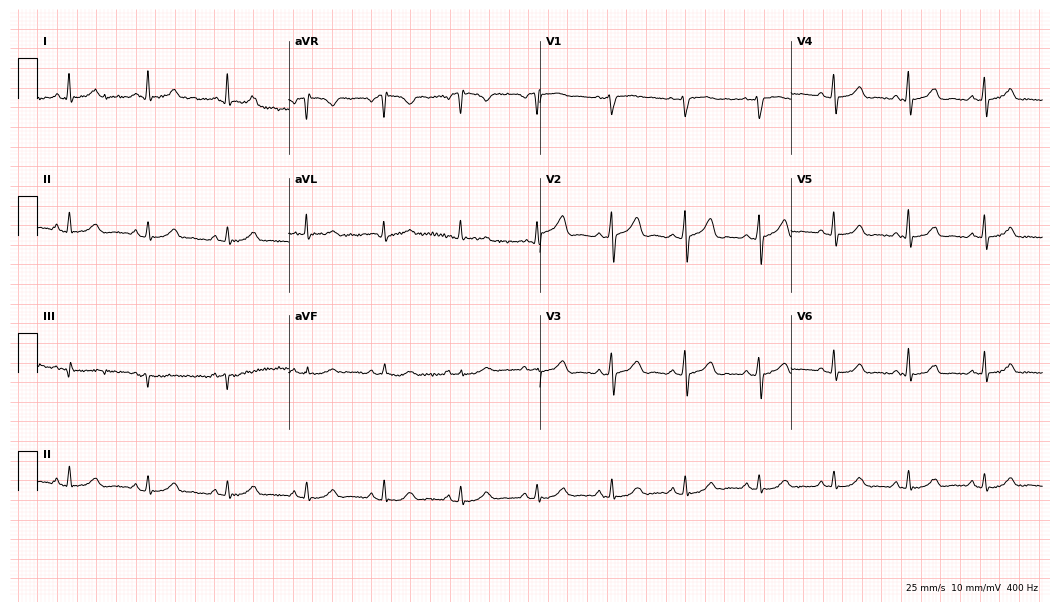
Standard 12-lead ECG recorded from a 54-year-old female patient. Read as a normal ECG.